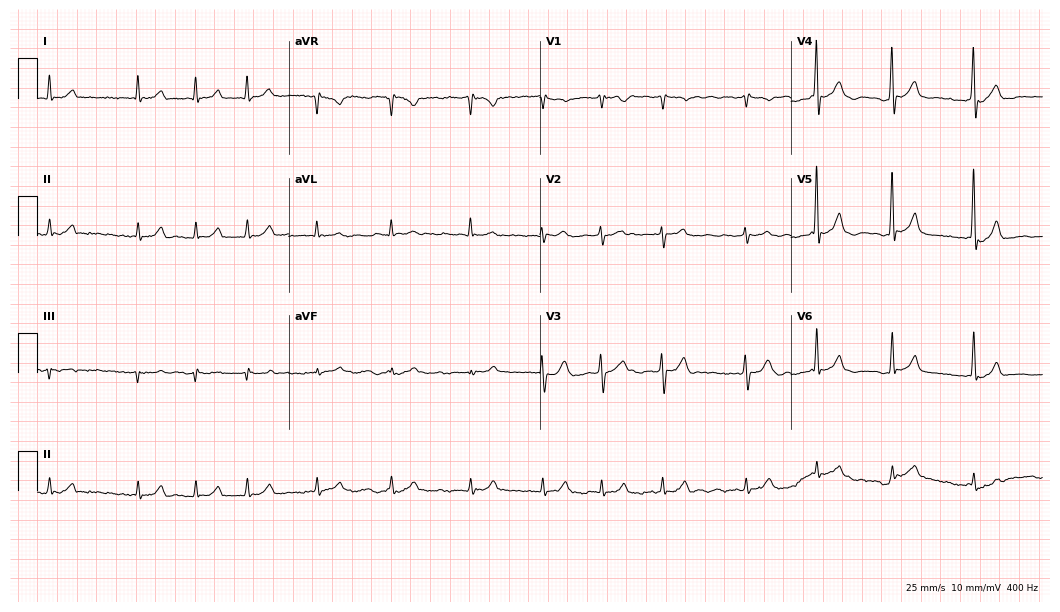
Resting 12-lead electrocardiogram. Patient: a male, 72 years old. The tracing shows atrial fibrillation.